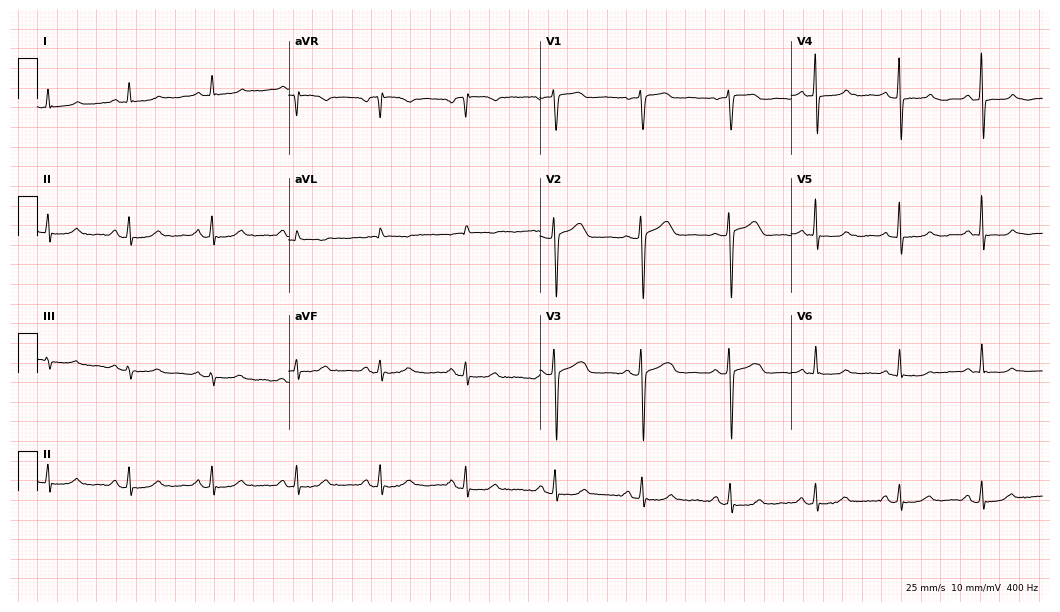
12-lead ECG from a 65-year-old woman (10.2-second recording at 400 Hz). Recorded interpretation: within normal limits.